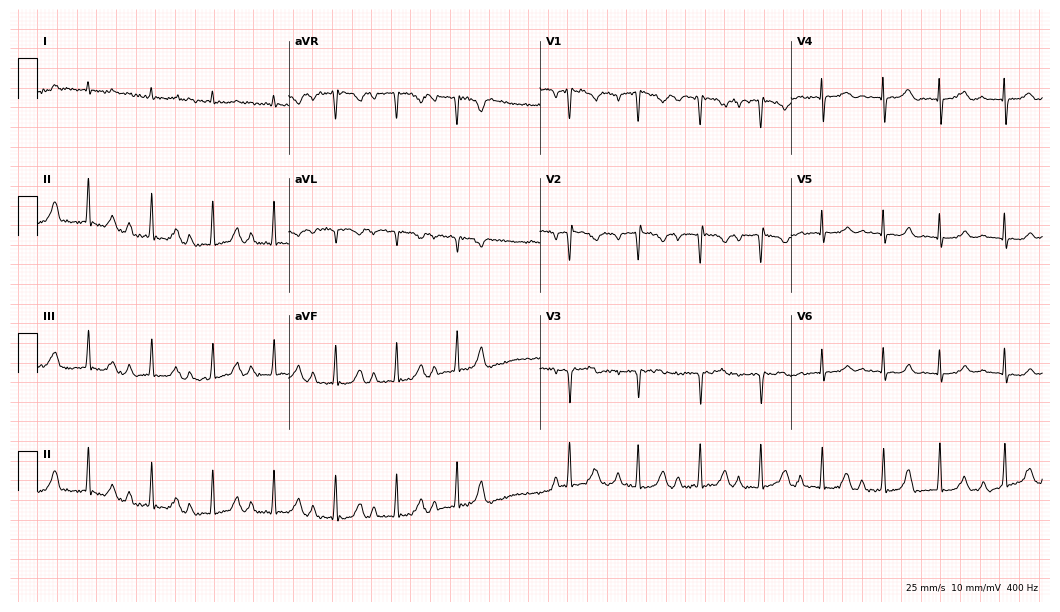
Standard 12-lead ECG recorded from a male patient, 74 years old (10.2-second recording at 400 Hz). The tracing shows first-degree AV block.